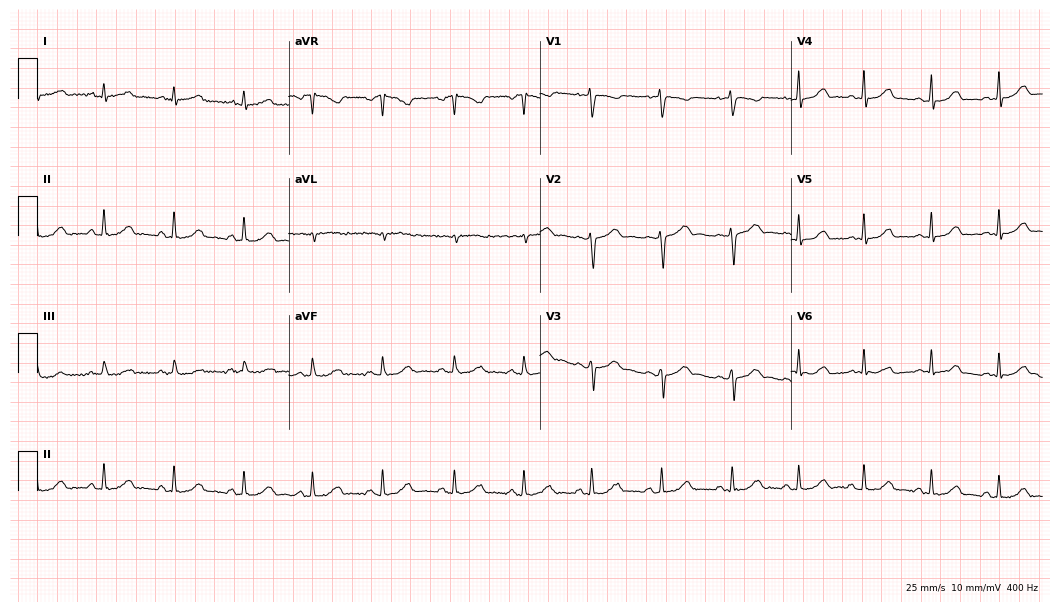
12-lead ECG from a 17-year-old woman. Labelled as a normal ECG.